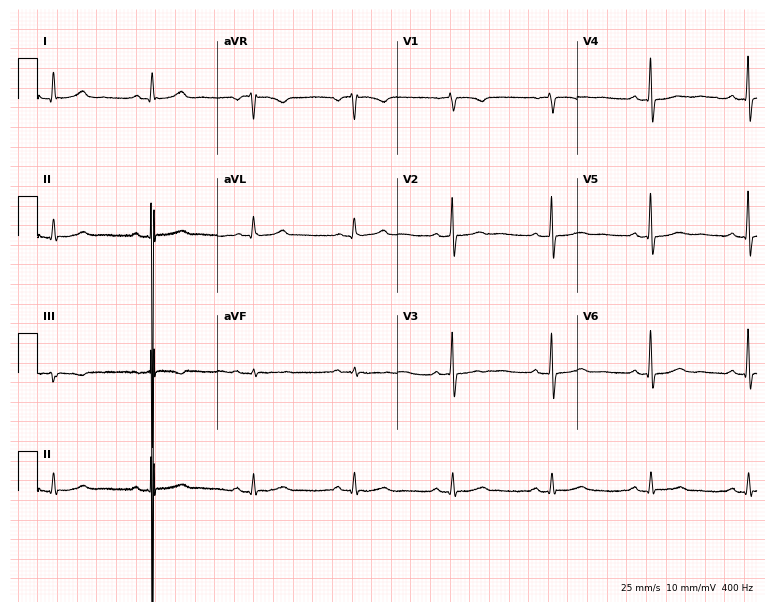
Resting 12-lead electrocardiogram. Patient: a man, 73 years old. None of these six findings is recorded: first-degree AV block, right bundle branch block (RBBB), left bundle branch block (LBBB), sinus bradycardia, atrial fibrillation (AF), sinus tachycardia.